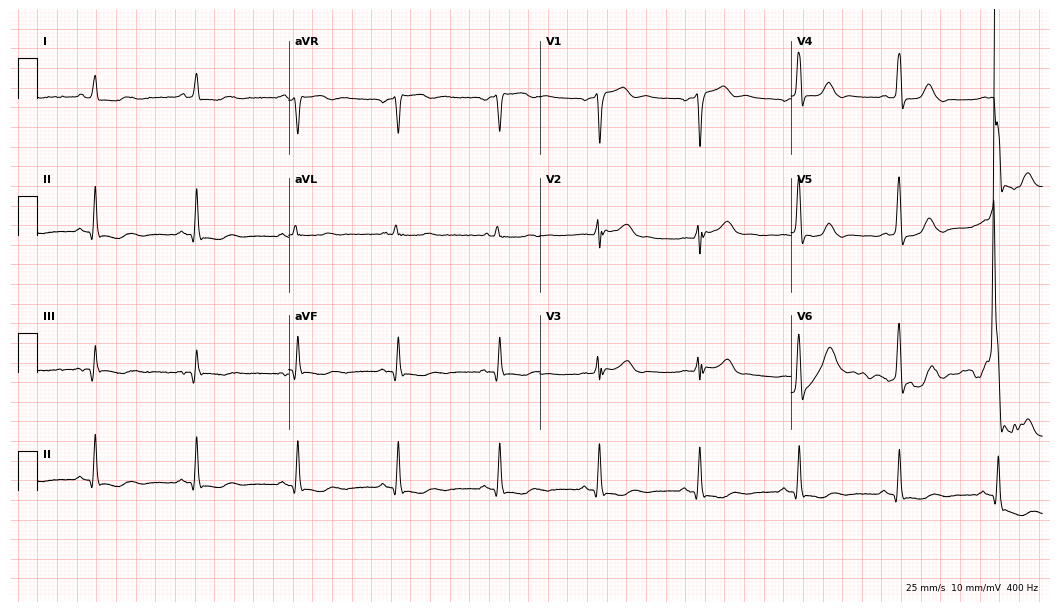
12-lead ECG from a 78-year-old male patient (10.2-second recording at 400 Hz). No first-degree AV block, right bundle branch block (RBBB), left bundle branch block (LBBB), sinus bradycardia, atrial fibrillation (AF) or sinus tachycardia recorded for this tracing.